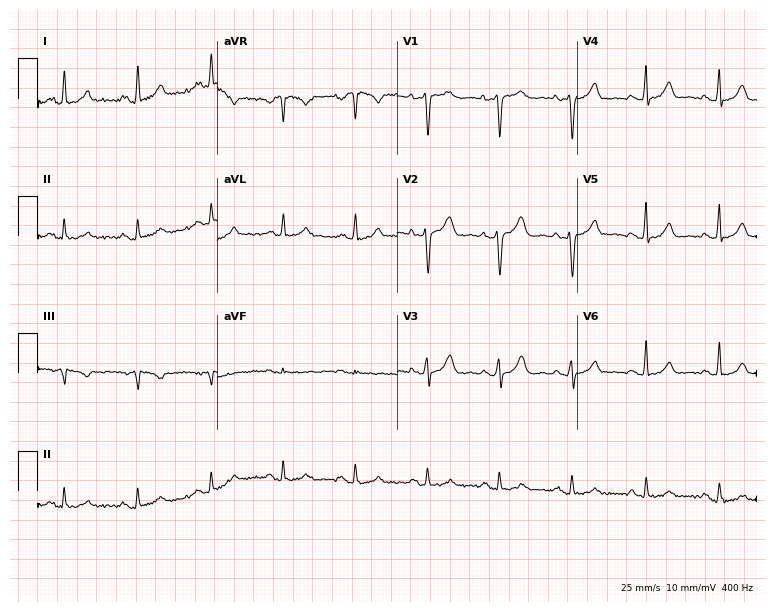
12-lead ECG from a 37-year-old female. No first-degree AV block, right bundle branch block (RBBB), left bundle branch block (LBBB), sinus bradycardia, atrial fibrillation (AF) or sinus tachycardia recorded for this tracing.